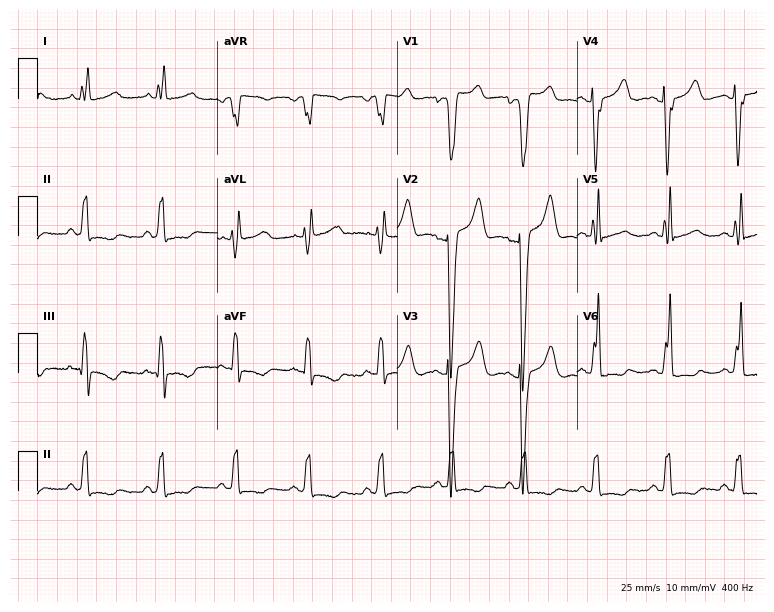
Standard 12-lead ECG recorded from a 38-year-old female patient (7.3-second recording at 400 Hz). The tracing shows left bundle branch block.